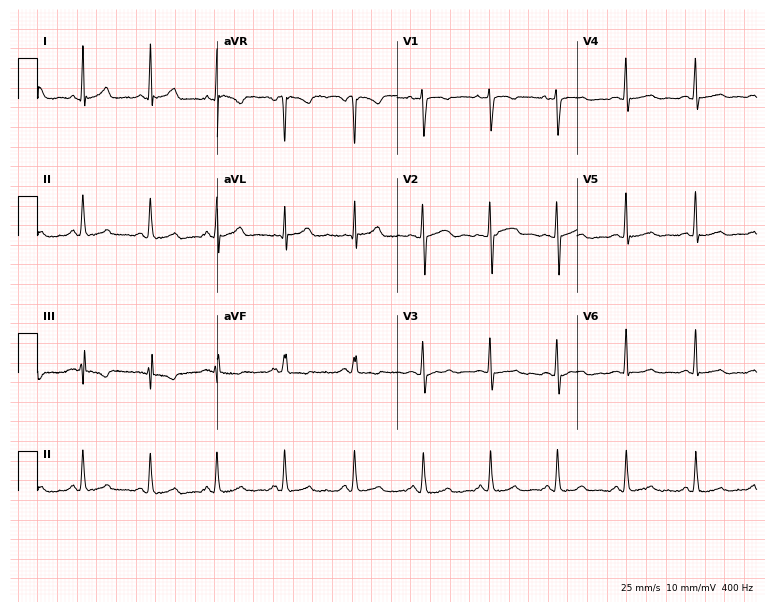
Electrocardiogram (7.3-second recording at 400 Hz), a female, 31 years old. Of the six screened findings (first-degree AV block, right bundle branch block, left bundle branch block, sinus bradycardia, atrial fibrillation, sinus tachycardia), none is recorded.